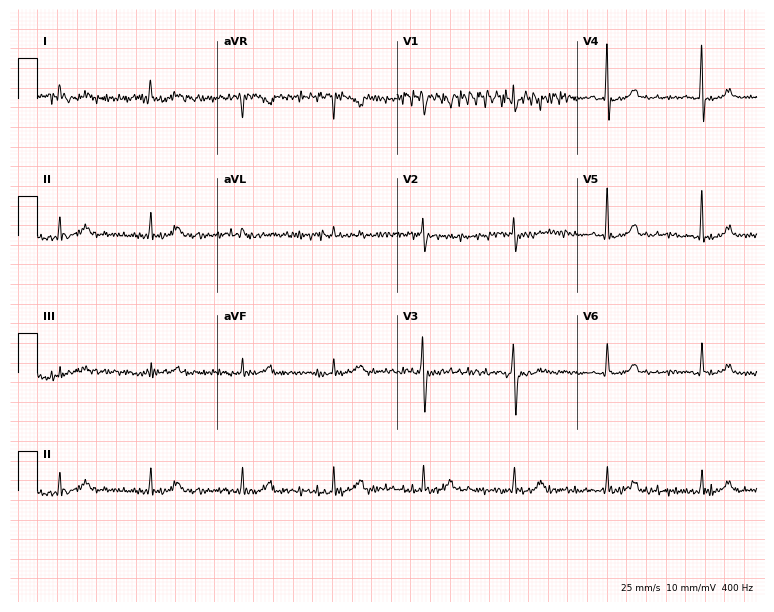
Standard 12-lead ECG recorded from a male, 65 years old. Read as a normal ECG.